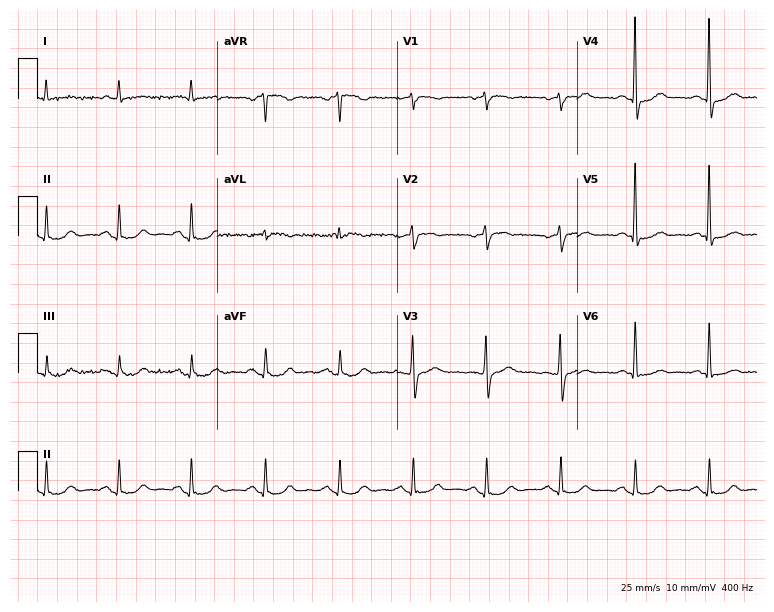
Resting 12-lead electrocardiogram (7.3-second recording at 400 Hz). Patient: an 81-year-old male. None of these six findings is recorded: first-degree AV block, right bundle branch block, left bundle branch block, sinus bradycardia, atrial fibrillation, sinus tachycardia.